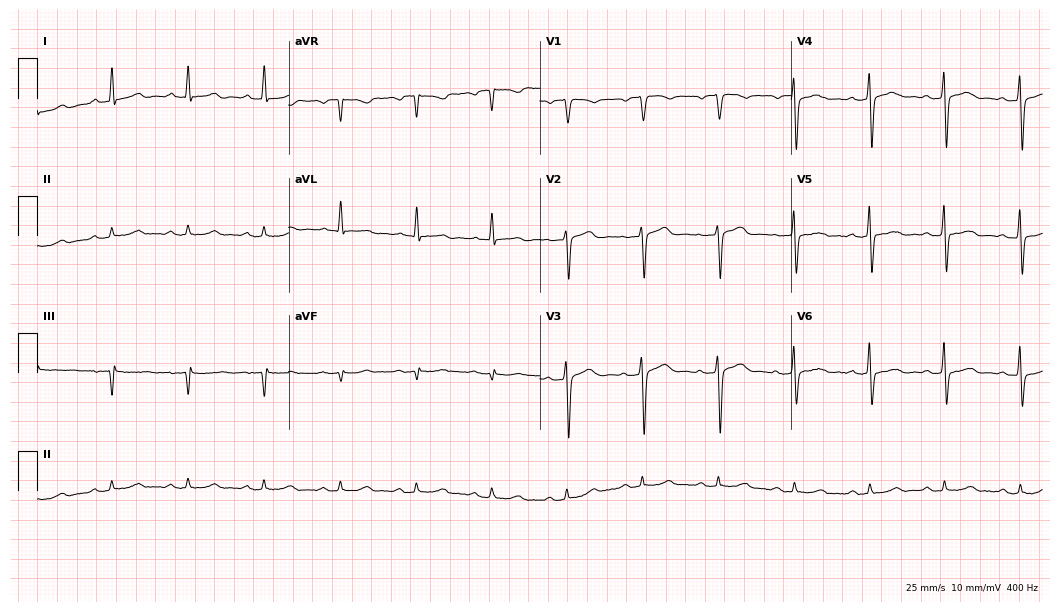
ECG — a 54-year-old man. Screened for six findings — first-degree AV block, right bundle branch block (RBBB), left bundle branch block (LBBB), sinus bradycardia, atrial fibrillation (AF), sinus tachycardia — none is recorded.